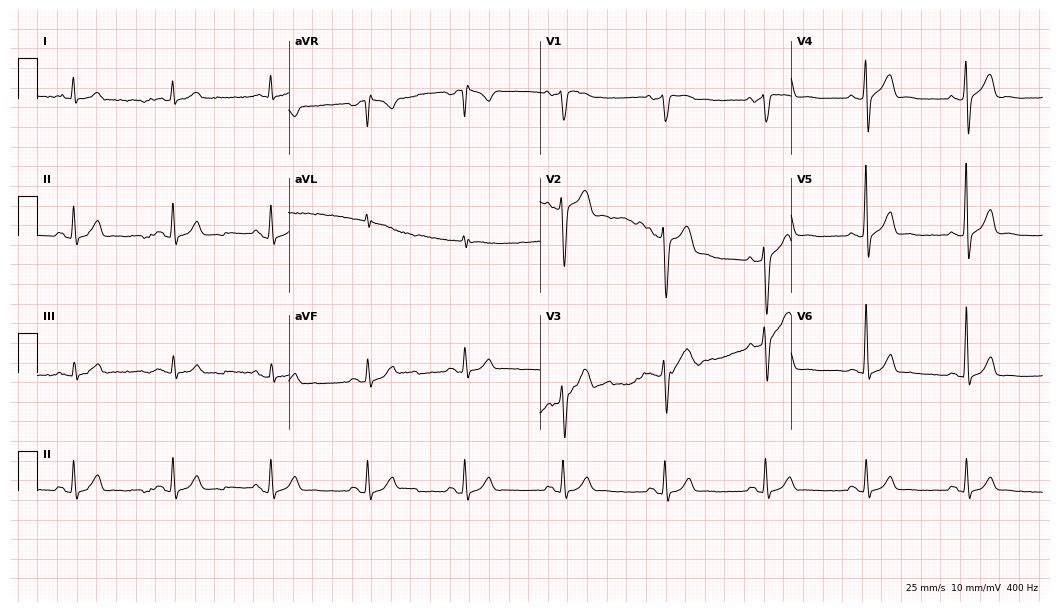
Resting 12-lead electrocardiogram. Patient: a 57-year-old male. Read as a normal ECG.